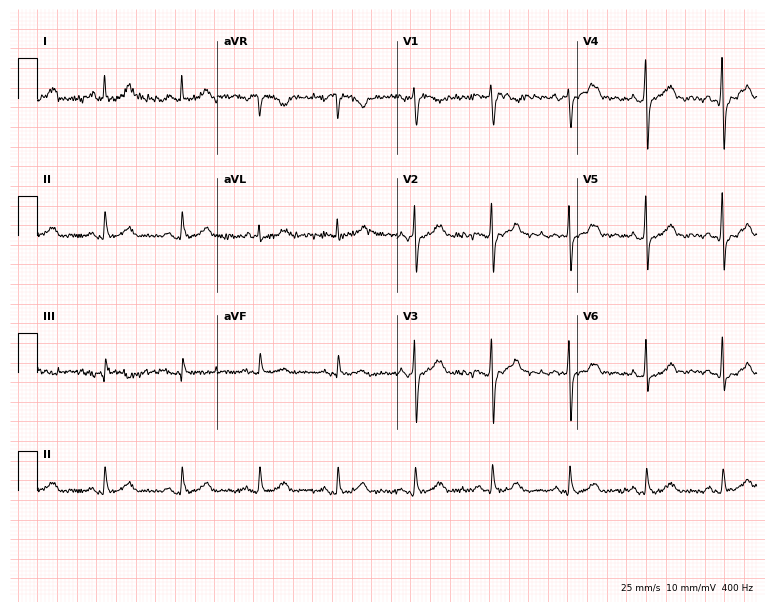
Standard 12-lead ECG recorded from a 38-year-old female. Read as a normal ECG.